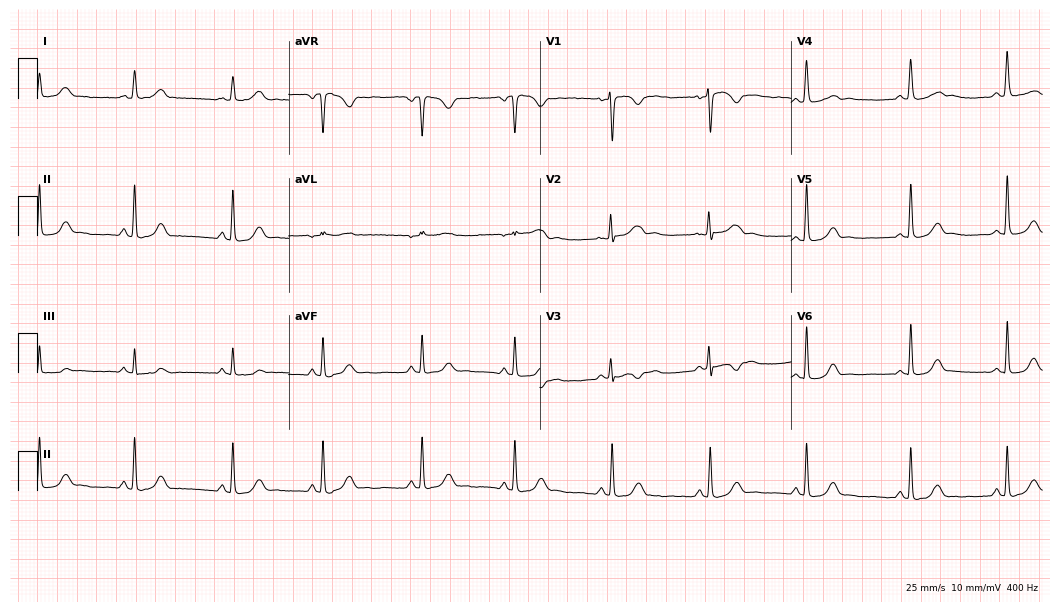
12-lead ECG from a woman, 26 years old (10.2-second recording at 400 Hz). Recorded interpretation: within normal limits.